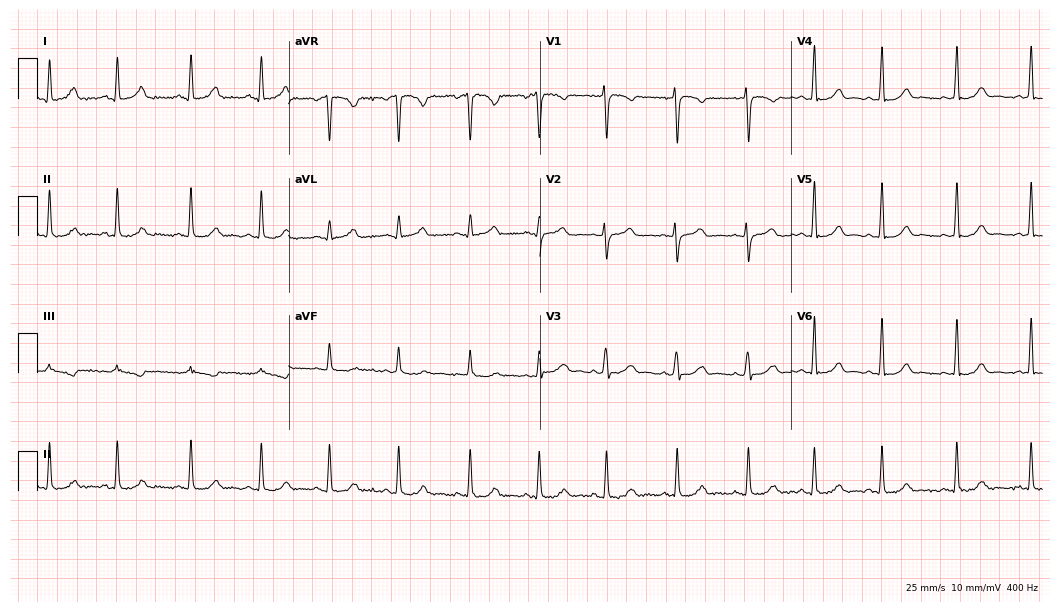
Electrocardiogram, a 25-year-old woman. Overall reading on record: normal ECG.